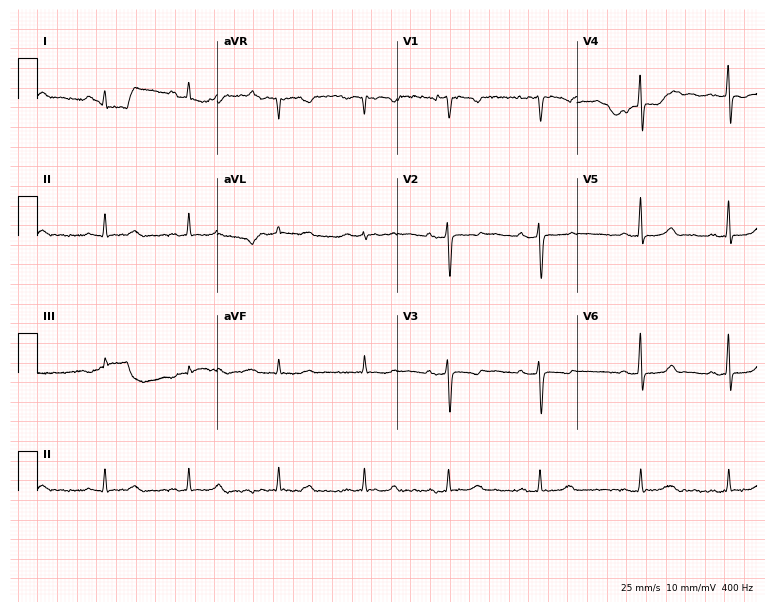
Resting 12-lead electrocardiogram. Patient: a woman, 27 years old. None of these six findings is recorded: first-degree AV block, right bundle branch block (RBBB), left bundle branch block (LBBB), sinus bradycardia, atrial fibrillation (AF), sinus tachycardia.